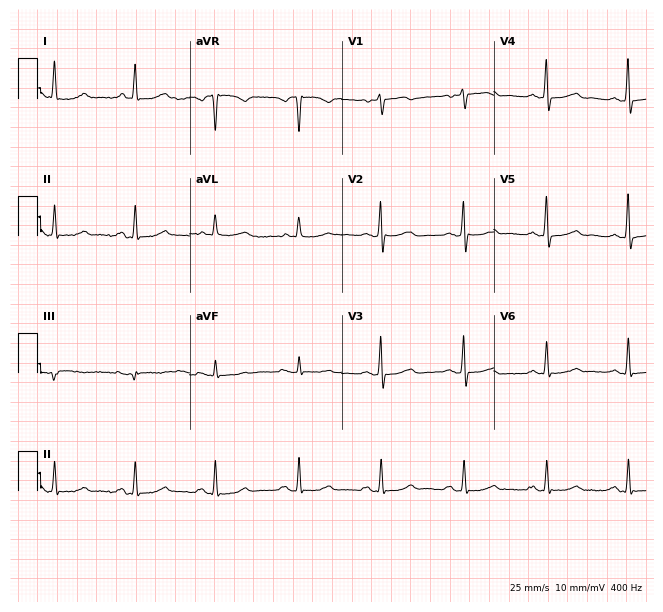
Resting 12-lead electrocardiogram (6.2-second recording at 400 Hz). Patient: a 70-year-old female. None of these six findings is recorded: first-degree AV block, right bundle branch block, left bundle branch block, sinus bradycardia, atrial fibrillation, sinus tachycardia.